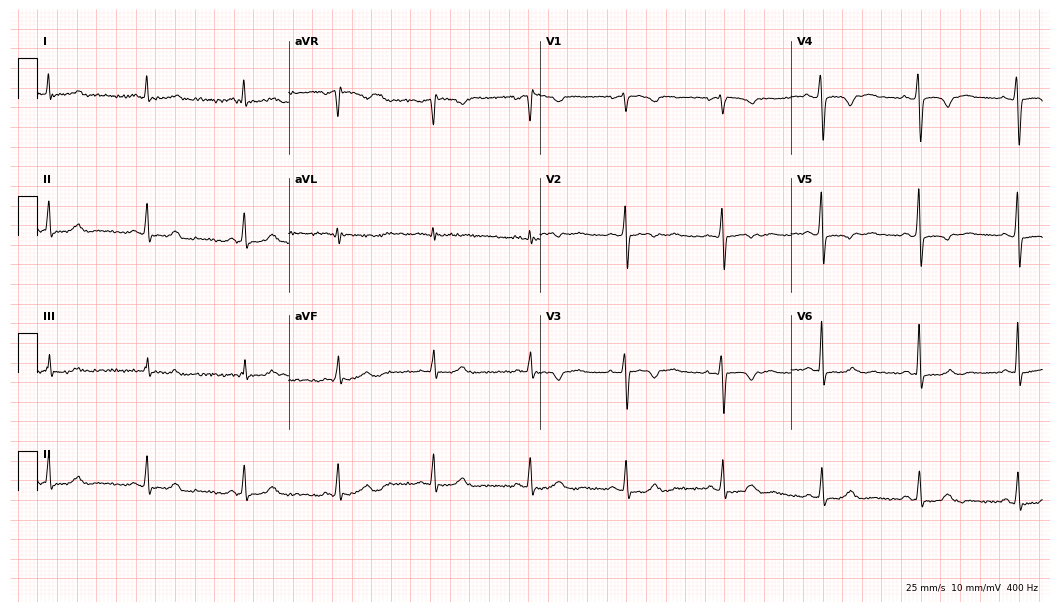
Resting 12-lead electrocardiogram. Patient: a woman, 49 years old. None of these six findings is recorded: first-degree AV block, right bundle branch block, left bundle branch block, sinus bradycardia, atrial fibrillation, sinus tachycardia. Findings outside these six are not listed.